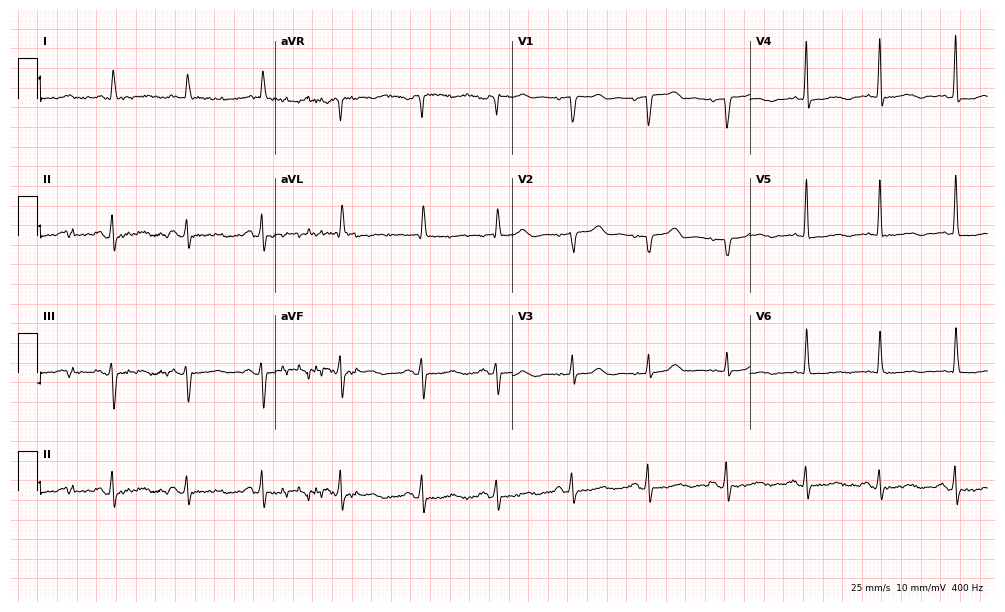
Standard 12-lead ECG recorded from an 83-year-old female (9.7-second recording at 400 Hz). None of these six findings is recorded: first-degree AV block, right bundle branch block, left bundle branch block, sinus bradycardia, atrial fibrillation, sinus tachycardia.